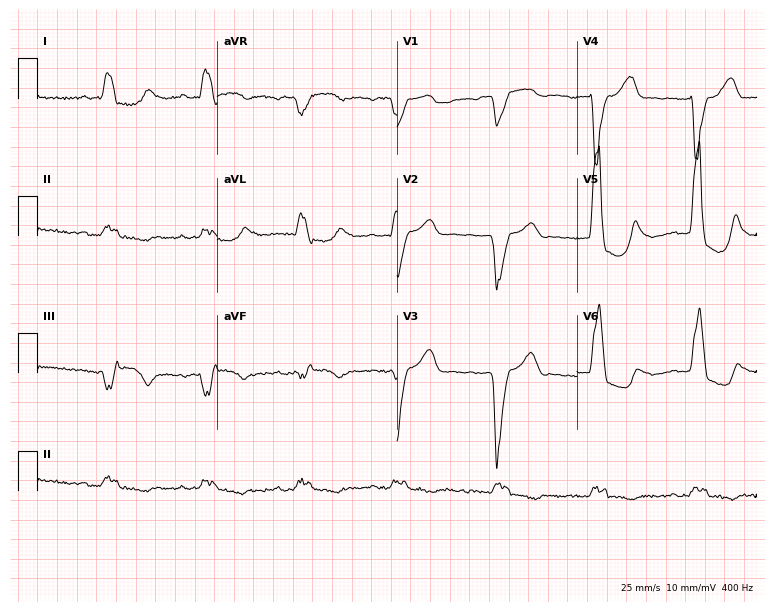
Electrocardiogram (7.3-second recording at 400 Hz), a male patient, 79 years old. Interpretation includes left bundle branch block.